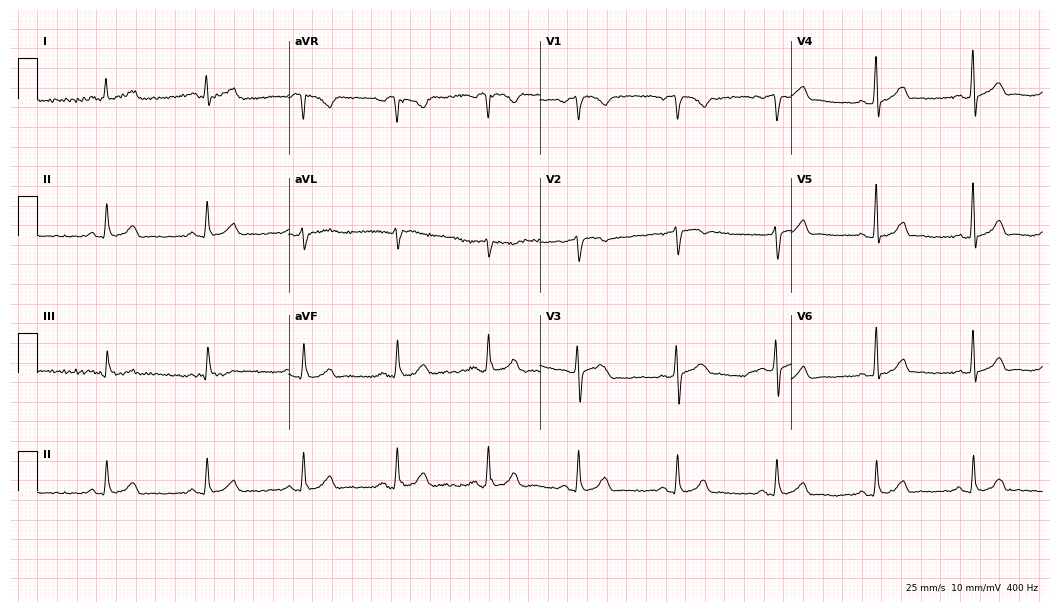
ECG (10.2-second recording at 400 Hz) — a male, 44 years old. Labelled as a normal ECG.